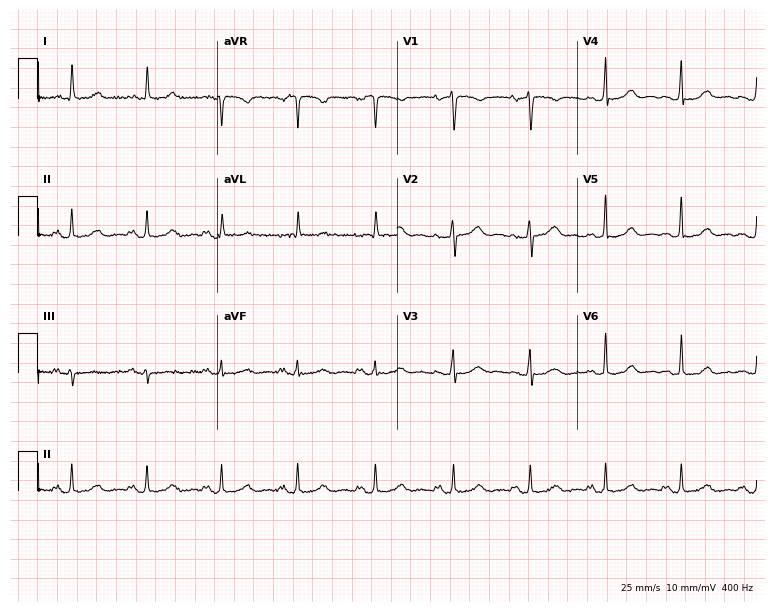
ECG (7.3-second recording at 400 Hz) — a woman, 38 years old. Screened for six findings — first-degree AV block, right bundle branch block (RBBB), left bundle branch block (LBBB), sinus bradycardia, atrial fibrillation (AF), sinus tachycardia — none is recorded.